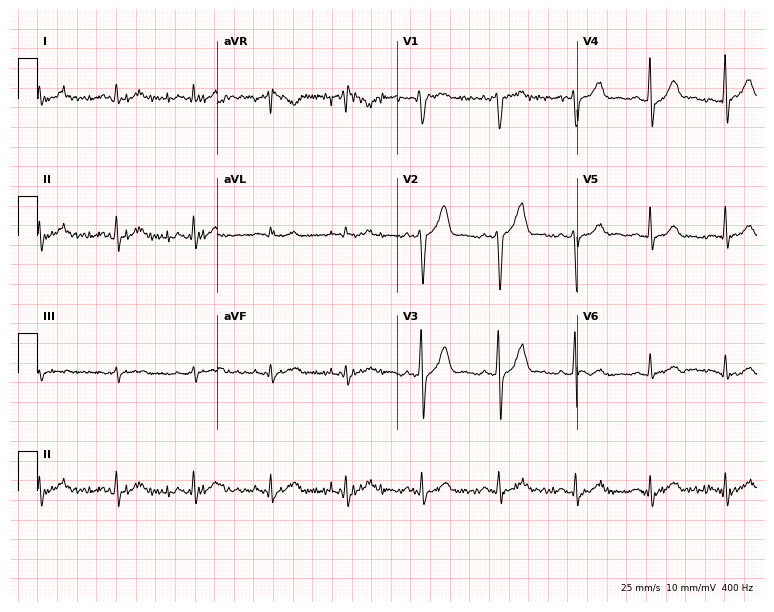
ECG — a man, 41 years old. Screened for six findings — first-degree AV block, right bundle branch block, left bundle branch block, sinus bradycardia, atrial fibrillation, sinus tachycardia — none is recorded. Other findings, if any, are not listed.